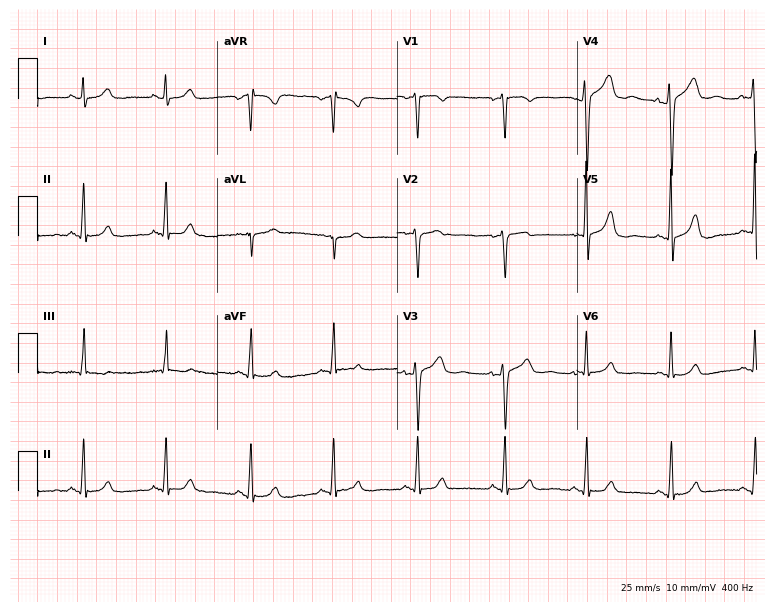
Electrocardiogram, a woman, 36 years old. Of the six screened findings (first-degree AV block, right bundle branch block, left bundle branch block, sinus bradycardia, atrial fibrillation, sinus tachycardia), none is recorded.